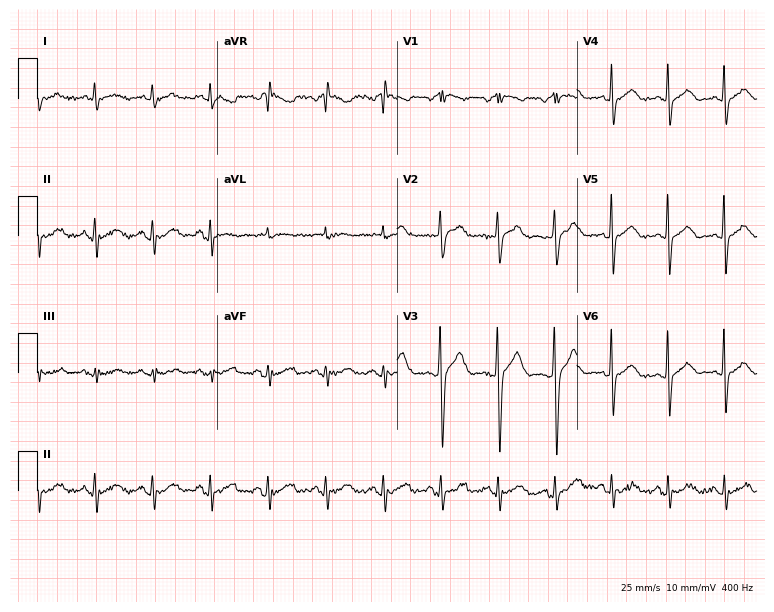
Standard 12-lead ECG recorded from a male patient, 38 years old. The tracing shows sinus tachycardia (a sinus rate of 100 beats per minute or more).